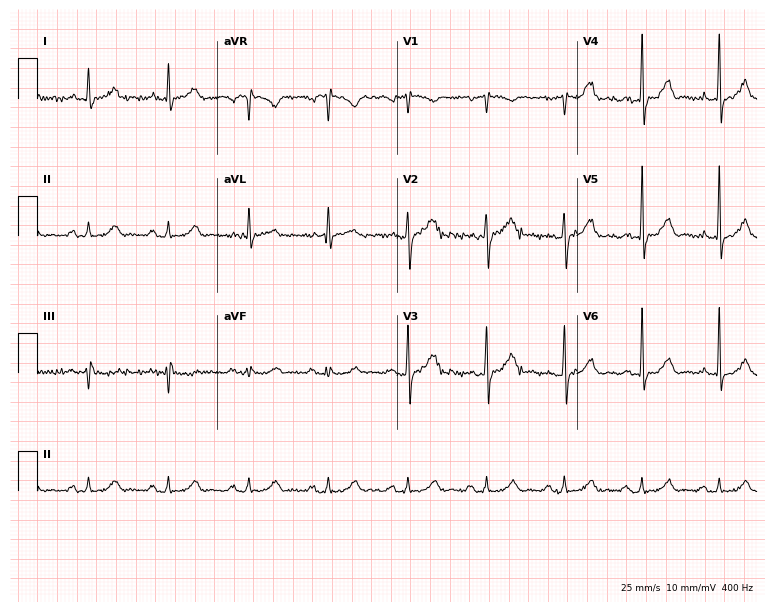
12-lead ECG from a male, 61 years old. Screened for six findings — first-degree AV block, right bundle branch block, left bundle branch block, sinus bradycardia, atrial fibrillation, sinus tachycardia — none is recorded. Findings outside these six are not listed.